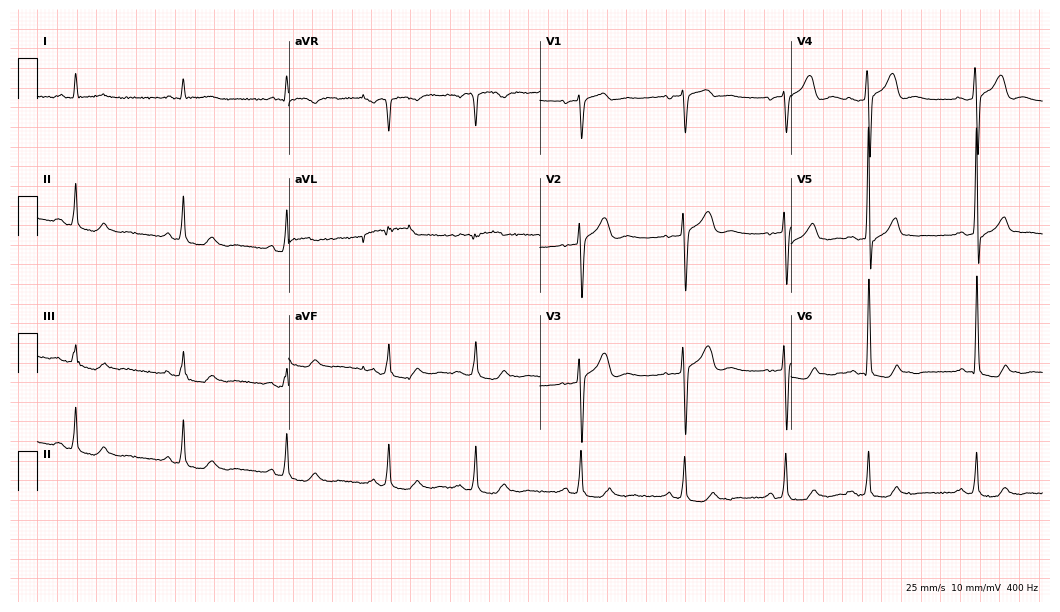
Resting 12-lead electrocardiogram (10.2-second recording at 400 Hz). Patient: a man, 63 years old. None of these six findings is recorded: first-degree AV block, right bundle branch block, left bundle branch block, sinus bradycardia, atrial fibrillation, sinus tachycardia. Only these six findings were labelled.